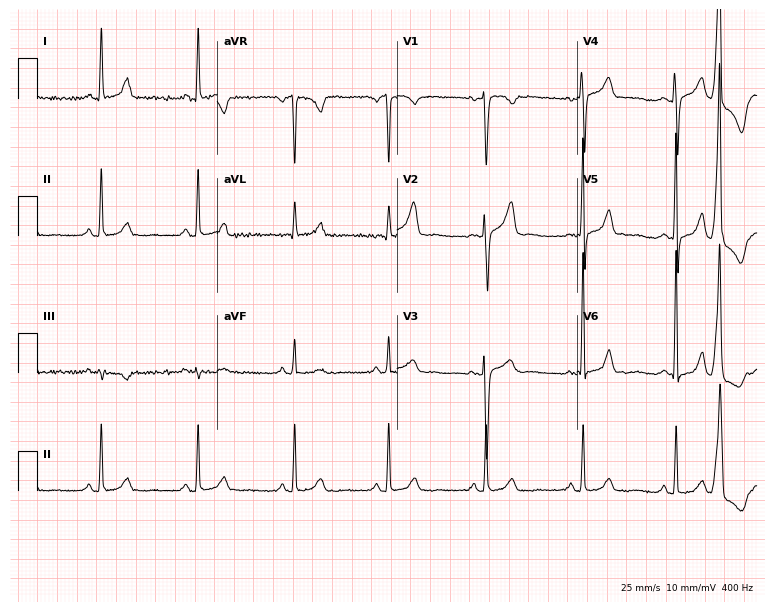
12-lead ECG from a female, 51 years old. Labelled as a normal ECG.